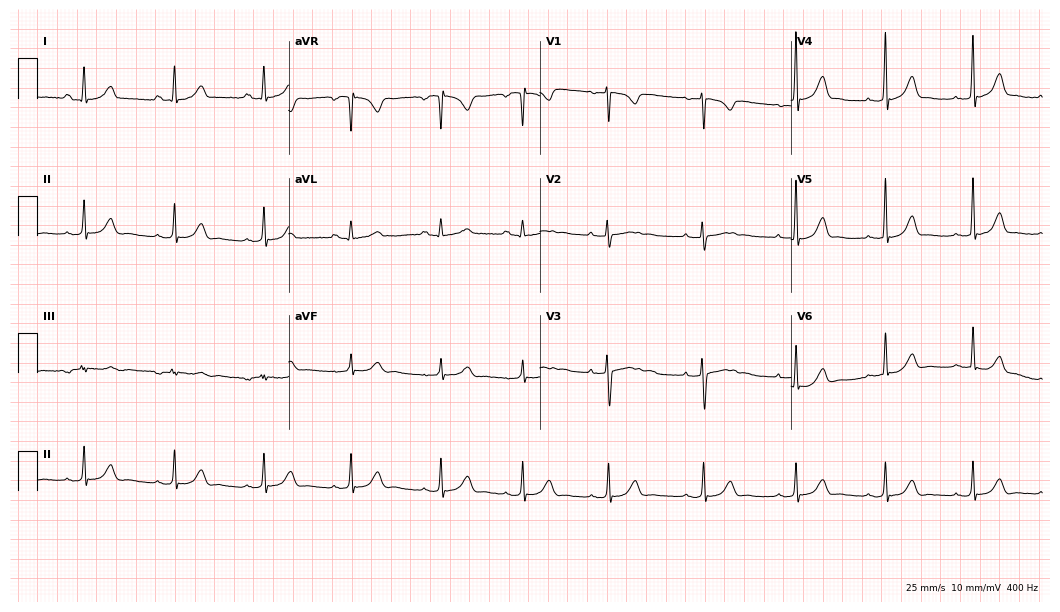
Electrocardiogram (10.2-second recording at 400 Hz), a 28-year-old male patient. Overall reading on record: normal ECG.